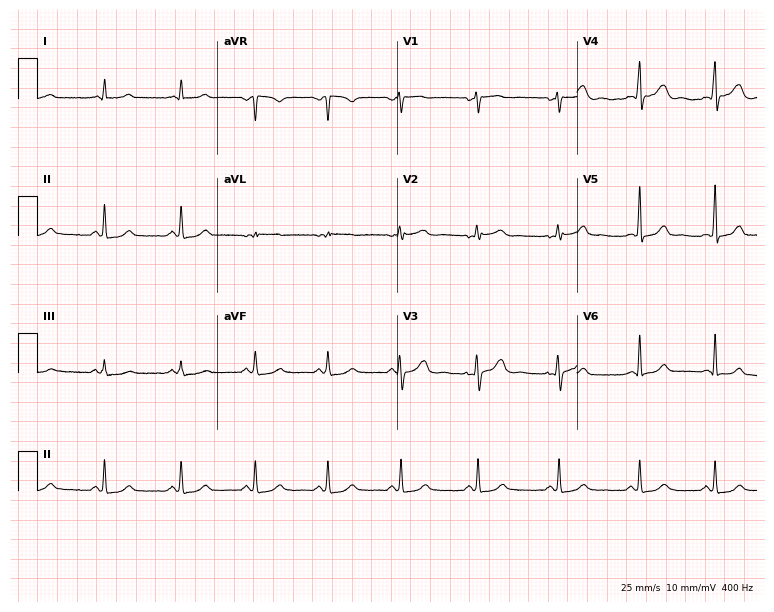
Electrocardiogram (7.3-second recording at 400 Hz), a female, 45 years old. Overall reading on record: normal ECG.